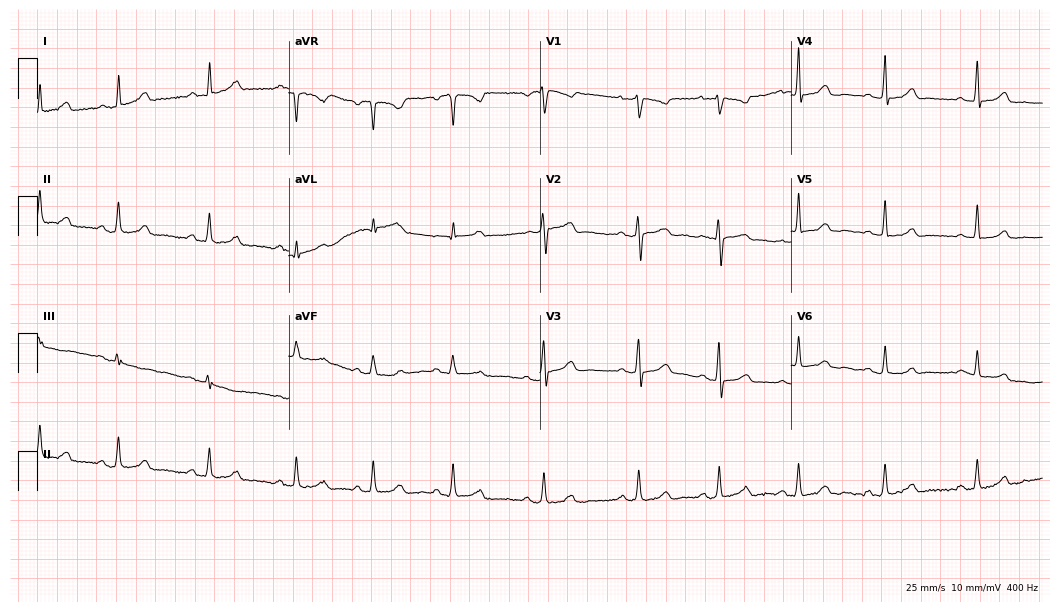
12-lead ECG from a 28-year-old female patient. Recorded interpretation: within normal limits.